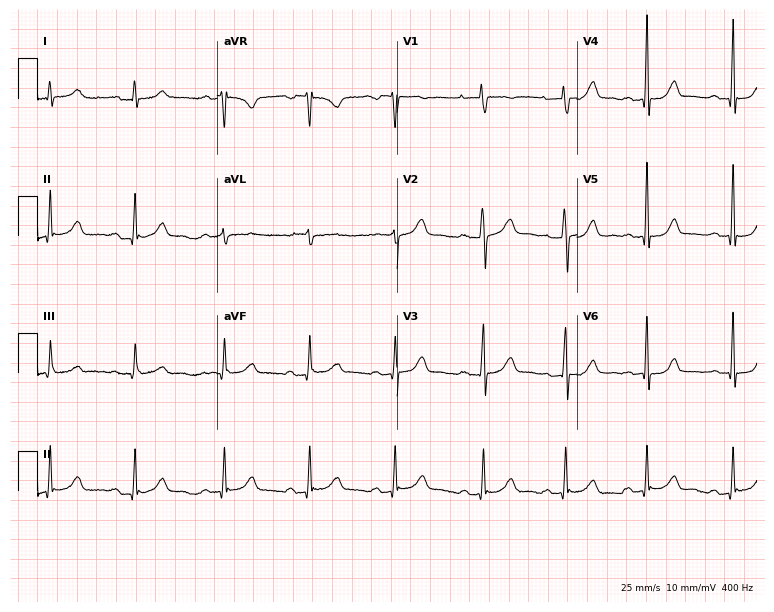
12-lead ECG from a 38-year-old woman. Recorded interpretation: within normal limits.